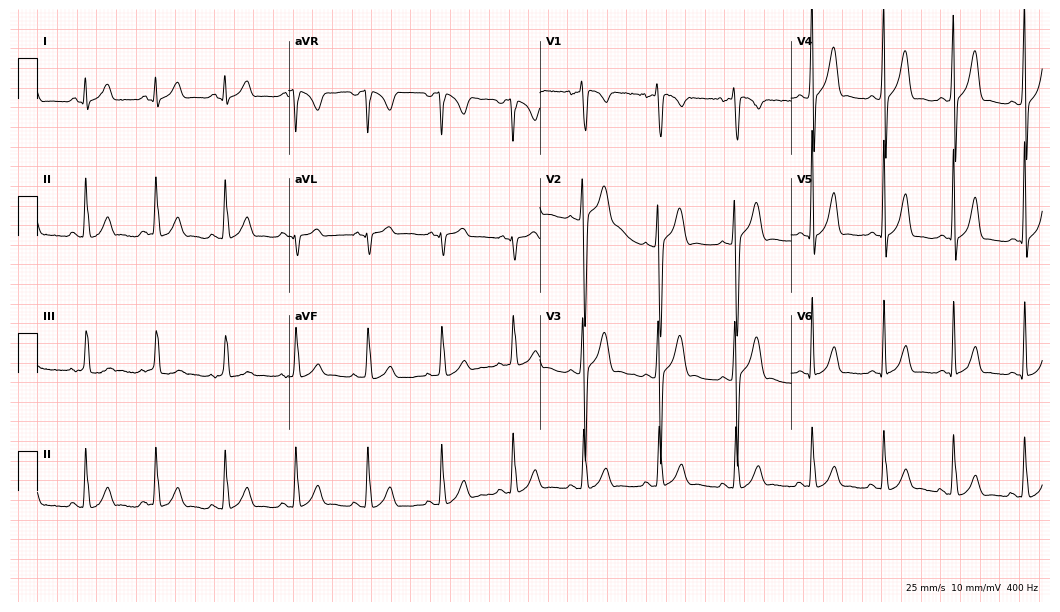
12-lead ECG (10.2-second recording at 400 Hz) from a 17-year-old male. Labelled as a normal ECG.